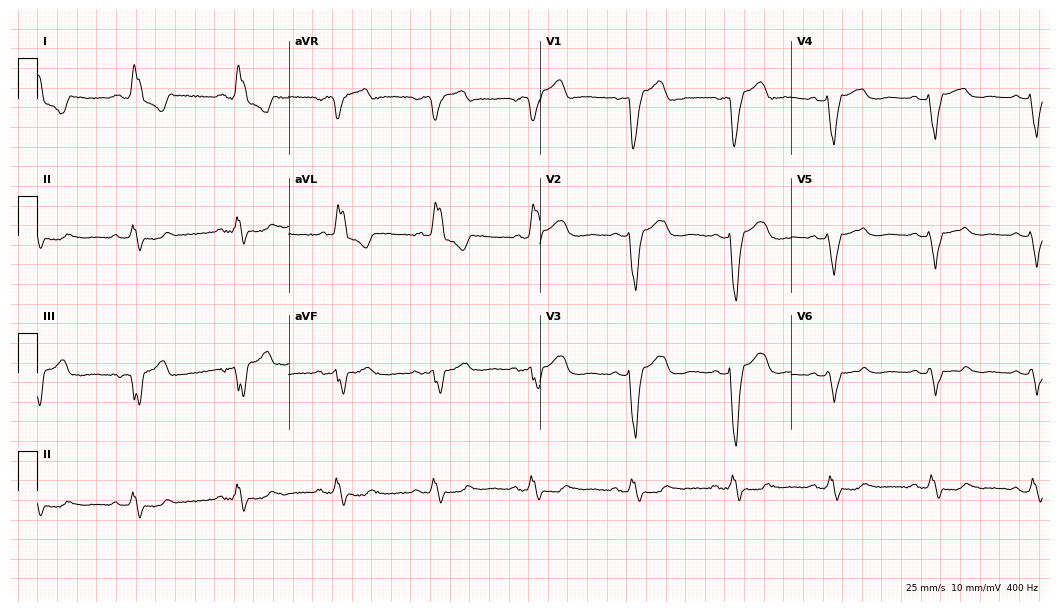
Electrocardiogram (10.2-second recording at 400 Hz), a female, 70 years old. Interpretation includes left bundle branch block (LBBB).